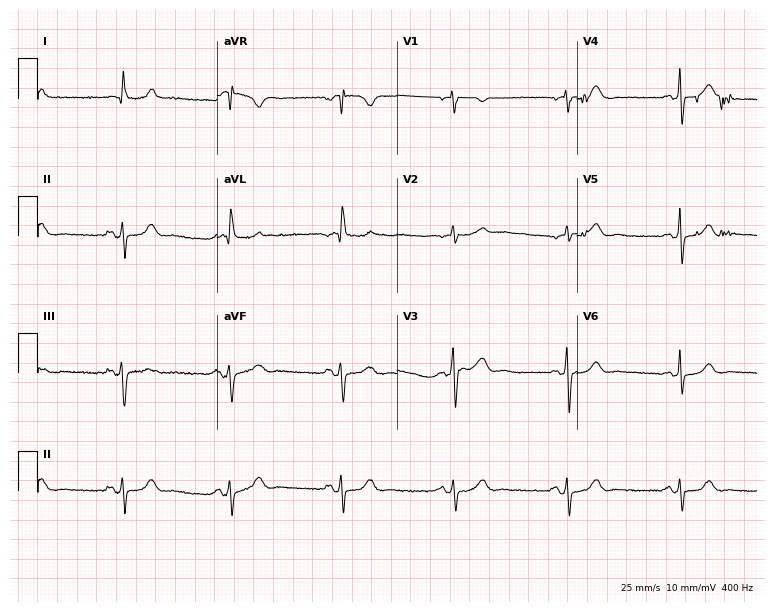
ECG — a female, 85 years old. Screened for six findings — first-degree AV block, right bundle branch block, left bundle branch block, sinus bradycardia, atrial fibrillation, sinus tachycardia — none is recorded.